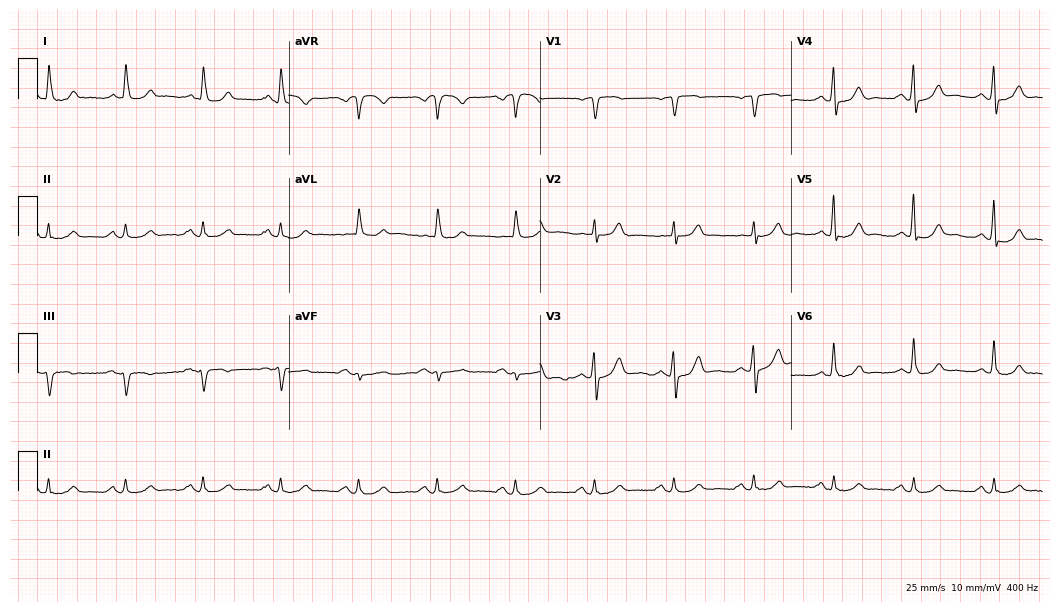
12-lead ECG from a 78-year-old male. No first-degree AV block, right bundle branch block, left bundle branch block, sinus bradycardia, atrial fibrillation or sinus tachycardia recorded for this tracing.